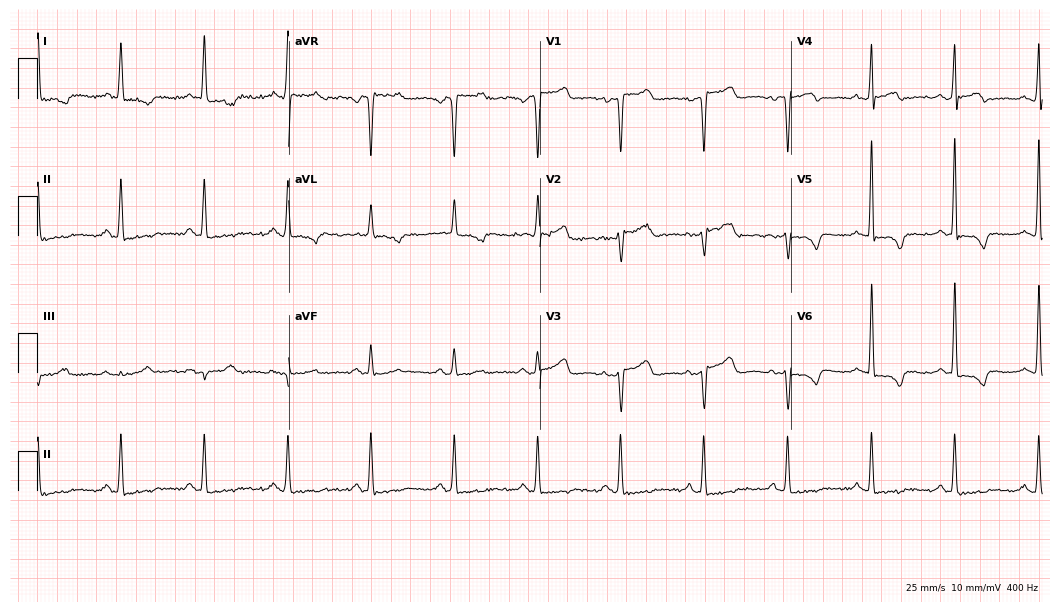
Standard 12-lead ECG recorded from a 62-year-old female patient (10.2-second recording at 400 Hz). None of these six findings is recorded: first-degree AV block, right bundle branch block (RBBB), left bundle branch block (LBBB), sinus bradycardia, atrial fibrillation (AF), sinus tachycardia.